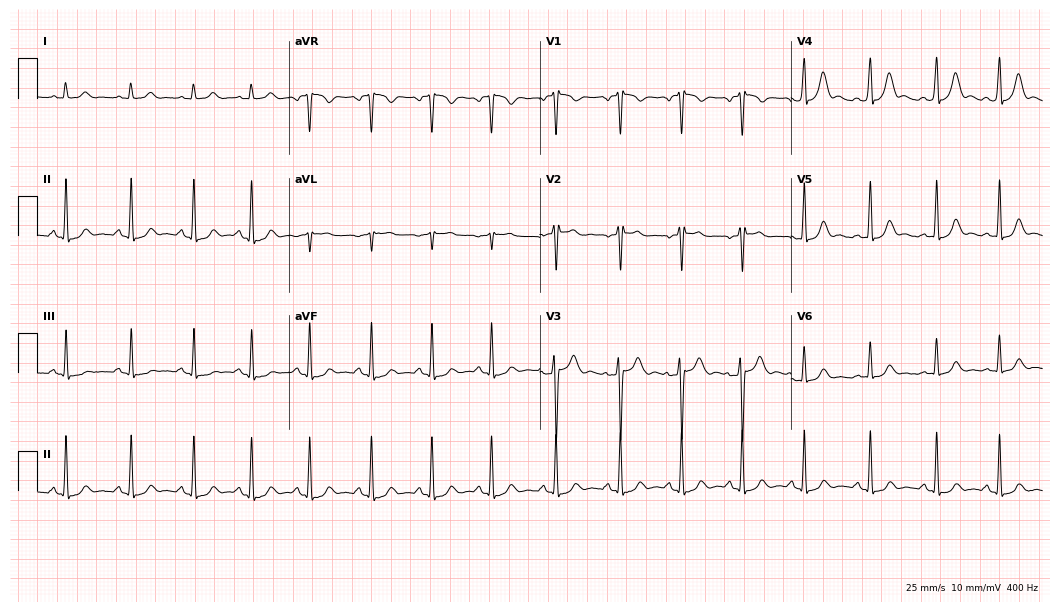
12-lead ECG (10.2-second recording at 400 Hz) from a female, 28 years old. Screened for six findings — first-degree AV block, right bundle branch block, left bundle branch block, sinus bradycardia, atrial fibrillation, sinus tachycardia — none is recorded. Other findings, if any, are not listed.